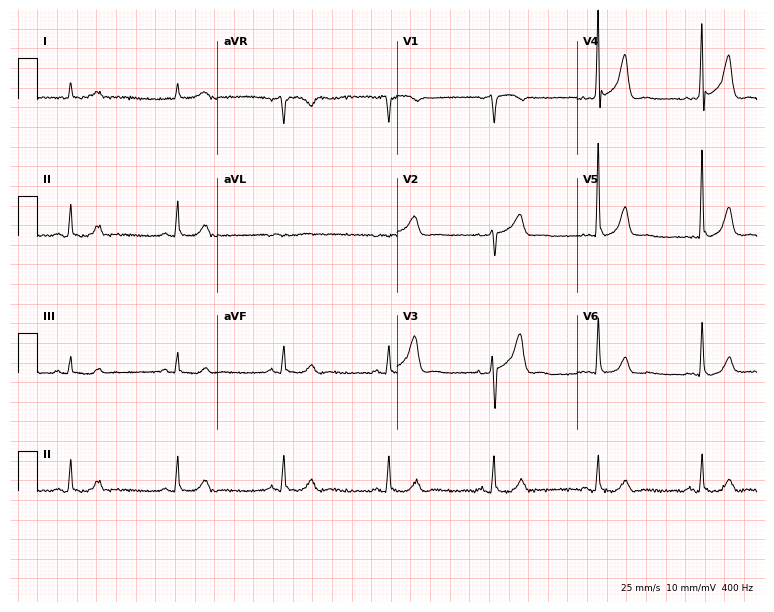
Standard 12-lead ECG recorded from a male, 78 years old (7.3-second recording at 400 Hz). None of these six findings is recorded: first-degree AV block, right bundle branch block (RBBB), left bundle branch block (LBBB), sinus bradycardia, atrial fibrillation (AF), sinus tachycardia. Findings outside these six are not listed.